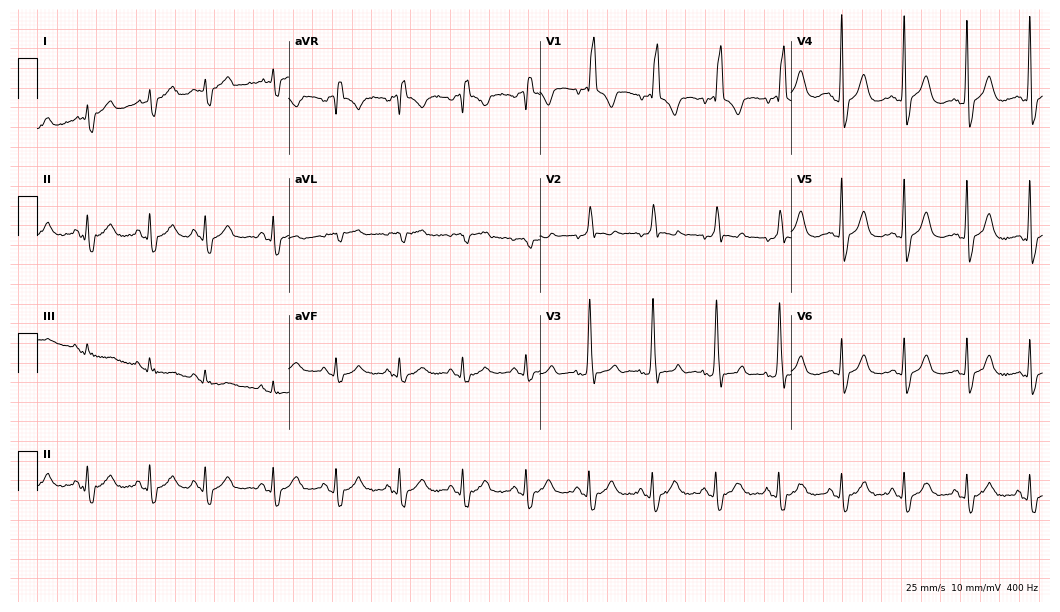
Electrocardiogram (10.2-second recording at 400 Hz), a male, 77 years old. Of the six screened findings (first-degree AV block, right bundle branch block (RBBB), left bundle branch block (LBBB), sinus bradycardia, atrial fibrillation (AF), sinus tachycardia), none is recorded.